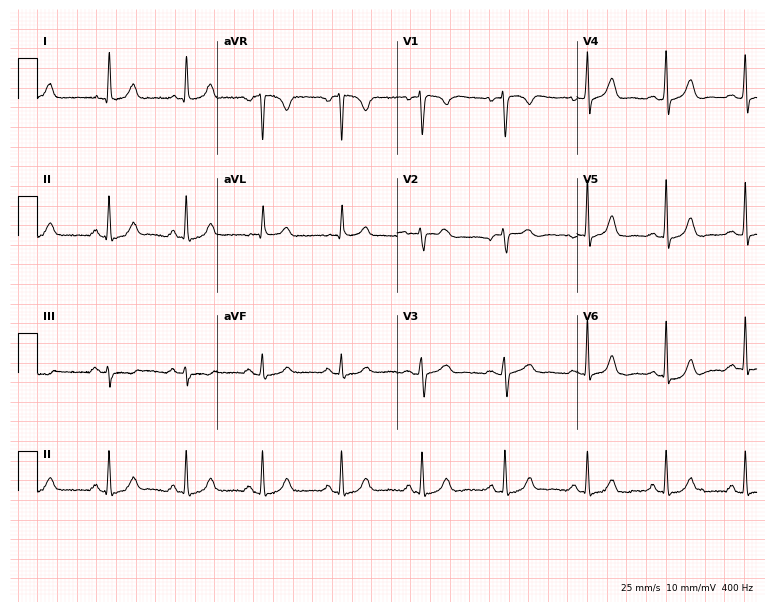
Resting 12-lead electrocardiogram. Patient: a 36-year-old female. Read as a normal ECG.